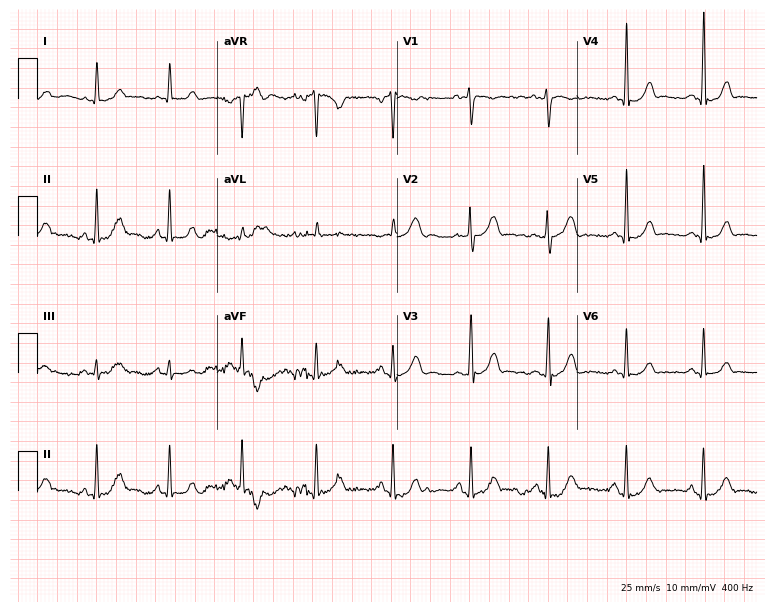
12-lead ECG (7.3-second recording at 400 Hz) from a 34-year-old female. Labelled as a normal ECG.